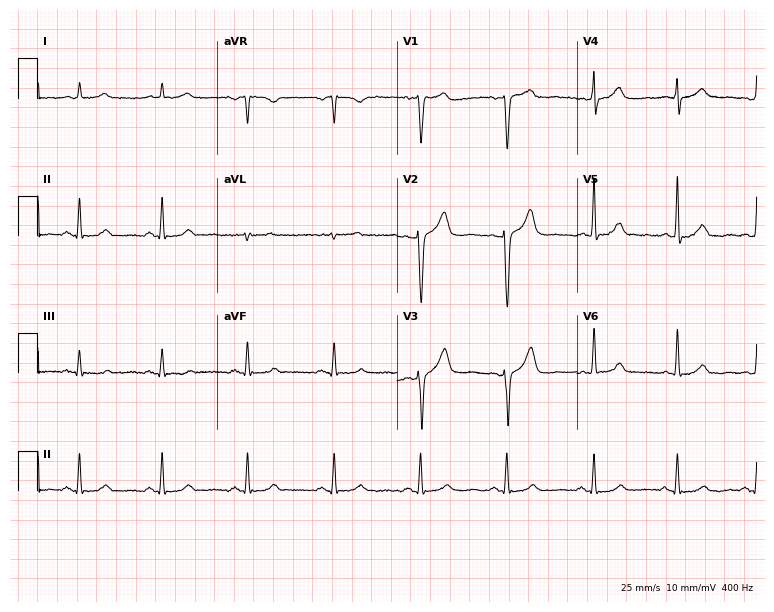
Standard 12-lead ECG recorded from a 56-year-old man (7.3-second recording at 400 Hz). Read as a normal ECG.